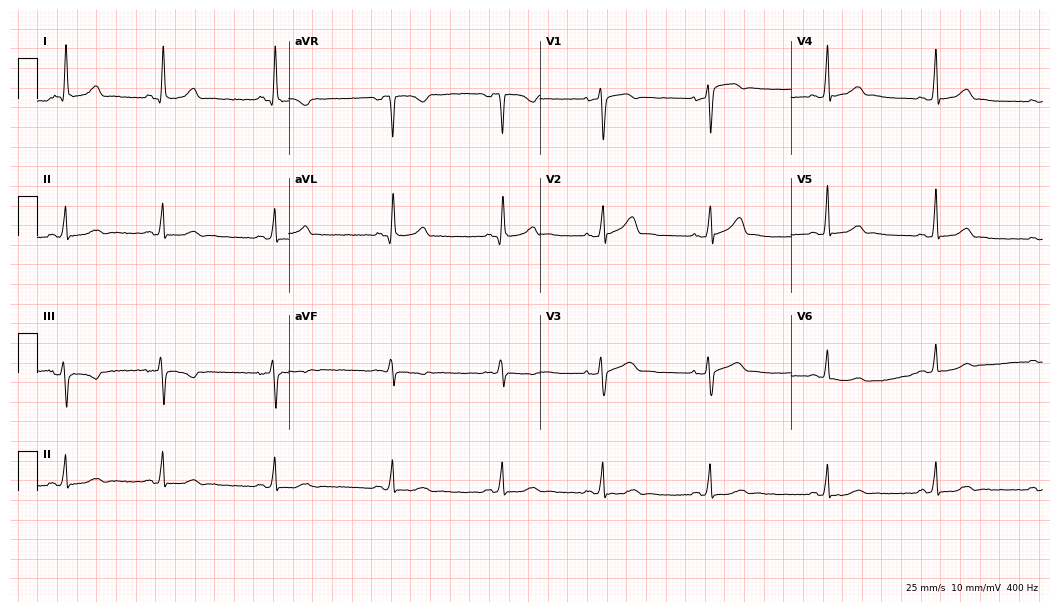
Resting 12-lead electrocardiogram. Patient: a female, 38 years old. Read as a normal ECG.